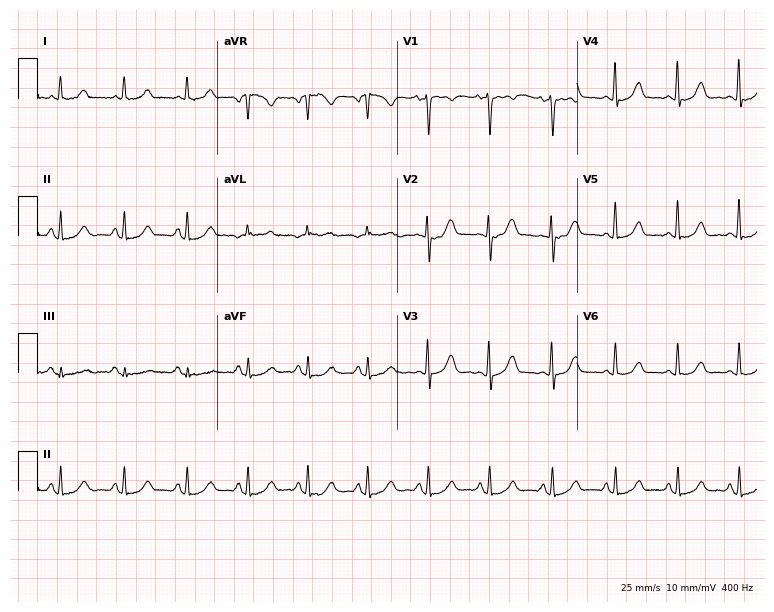
Electrocardiogram, a female patient, 43 years old. Of the six screened findings (first-degree AV block, right bundle branch block, left bundle branch block, sinus bradycardia, atrial fibrillation, sinus tachycardia), none is recorded.